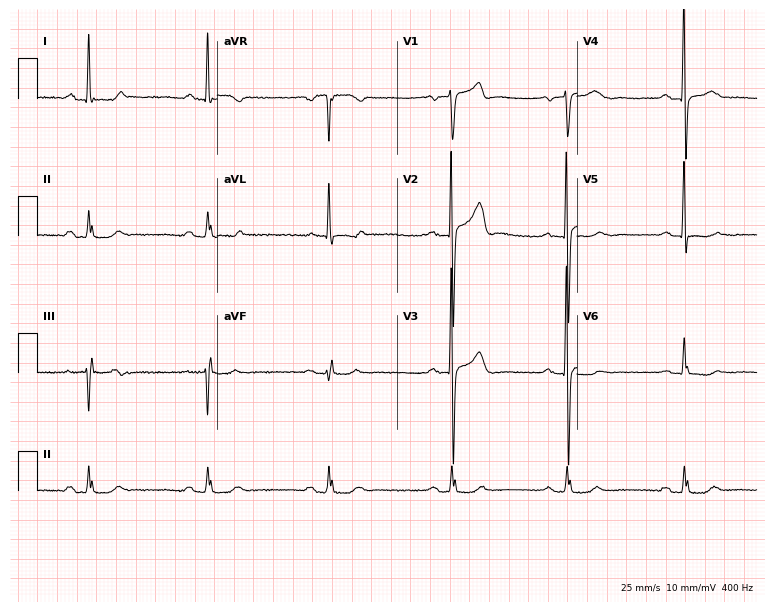
Standard 12-lead ECG recorded from a male, 60 years old (7.3-second recording at 400 Hz). The tracing shows sinus bradycardia (a sinus rate of 50 beats per minute or less).